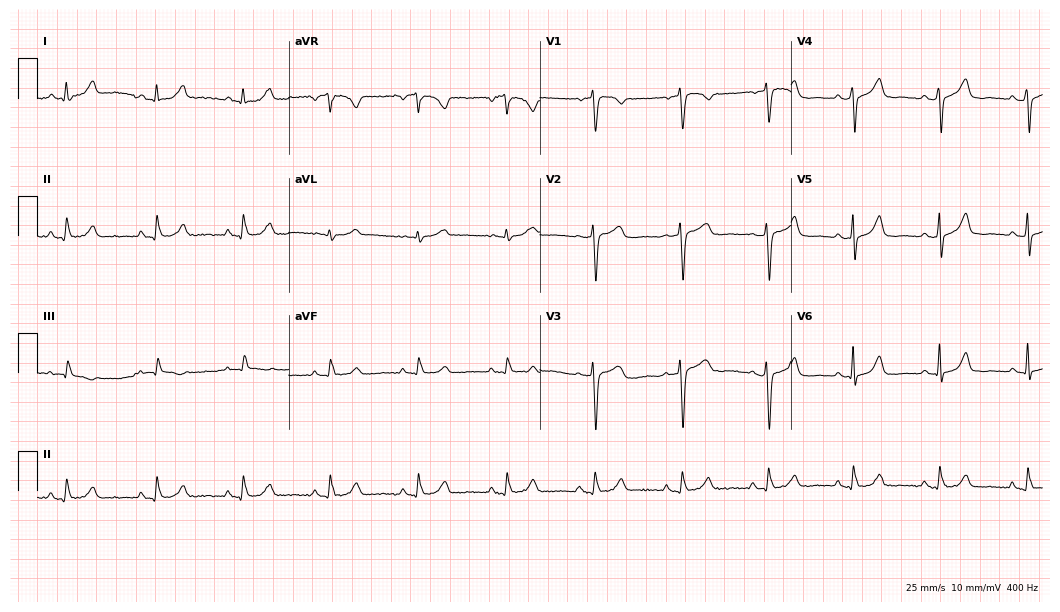
ECG — a 58-year-old female. Labelled as a normal ECG.